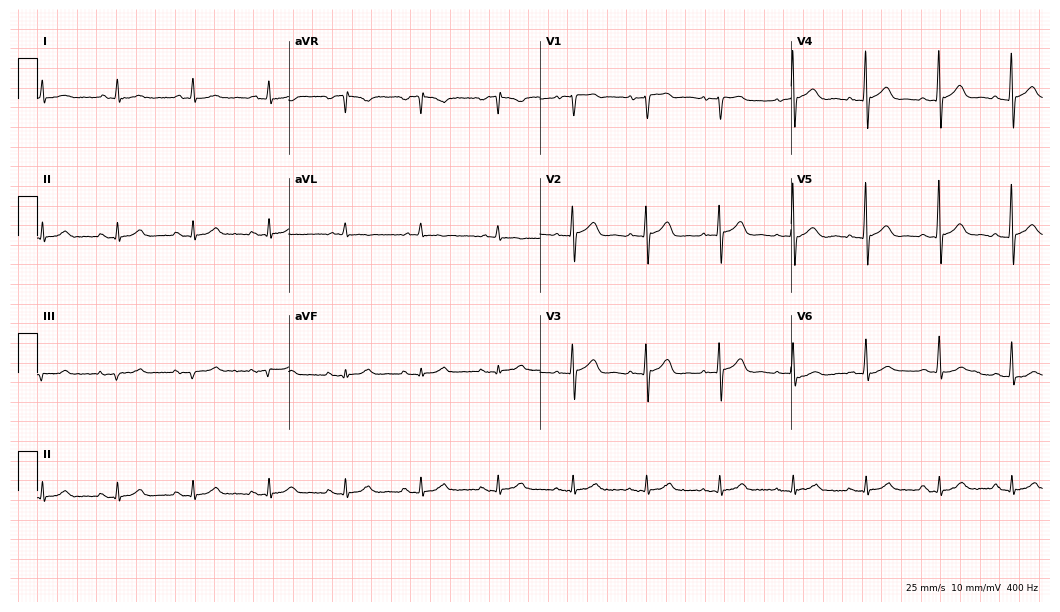
12-lead ECG from a man, 81 years old (10.2-second recording at 400 Hz). Recorded interpretation: within normal limits.